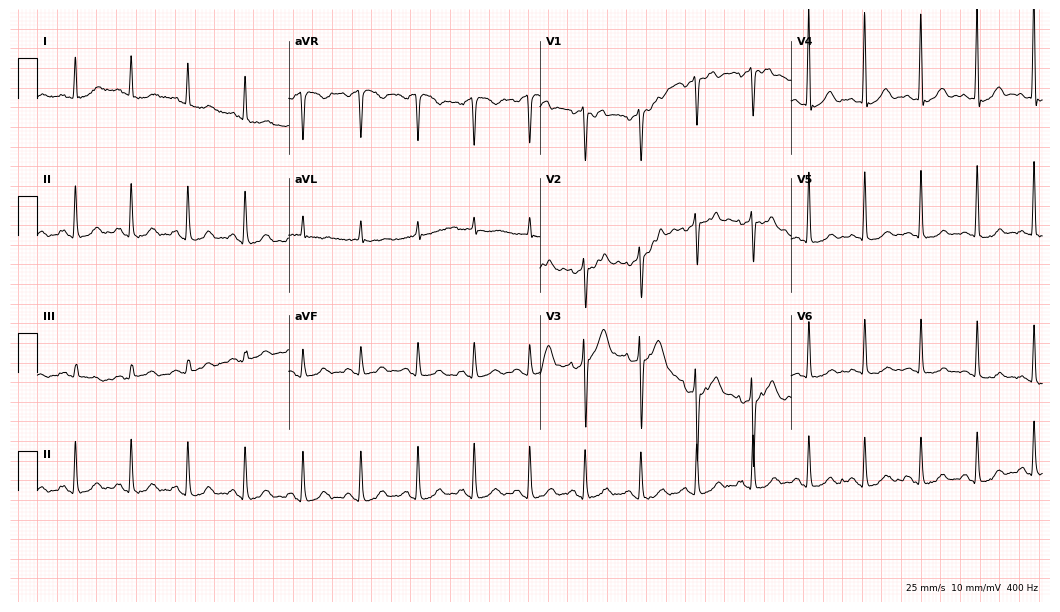
Standard 12-lead ECG recorded from a 64-year-old man. The tracing shows sinus tachycardia (a sinus rate of 100 beats per minute or more).